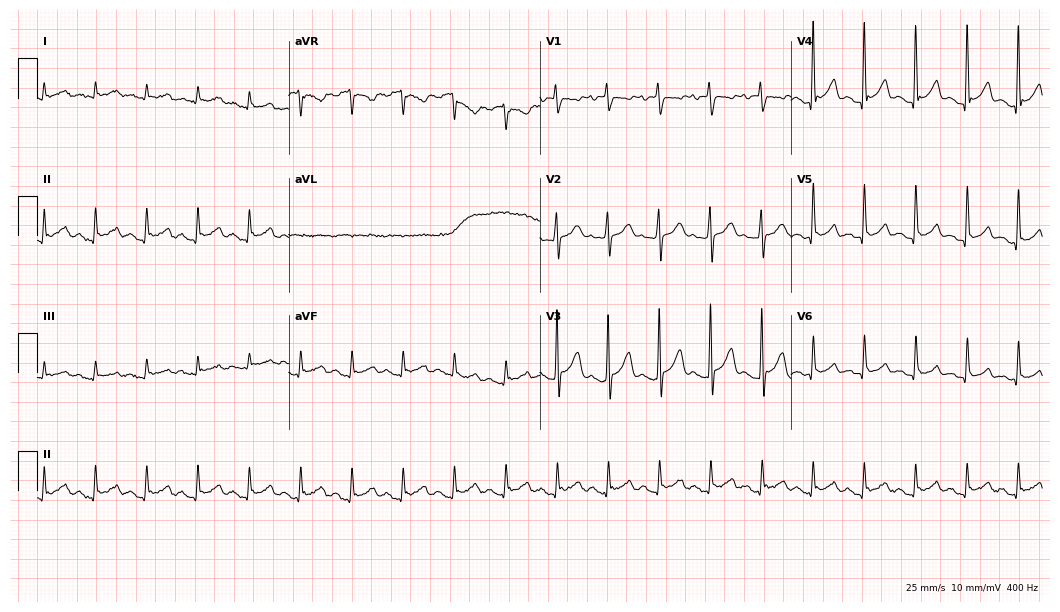
Standard 12-lead ECG recorded from a woman, 80 years old (10.2-second recording at 400 Hz). None of these six findings is recorded: first-degree AV block, right bundle branch block, left bundle branch block, sinus bradycardia, atrial fibrillation, sinus tachycardia. Only these six findings were labelled.